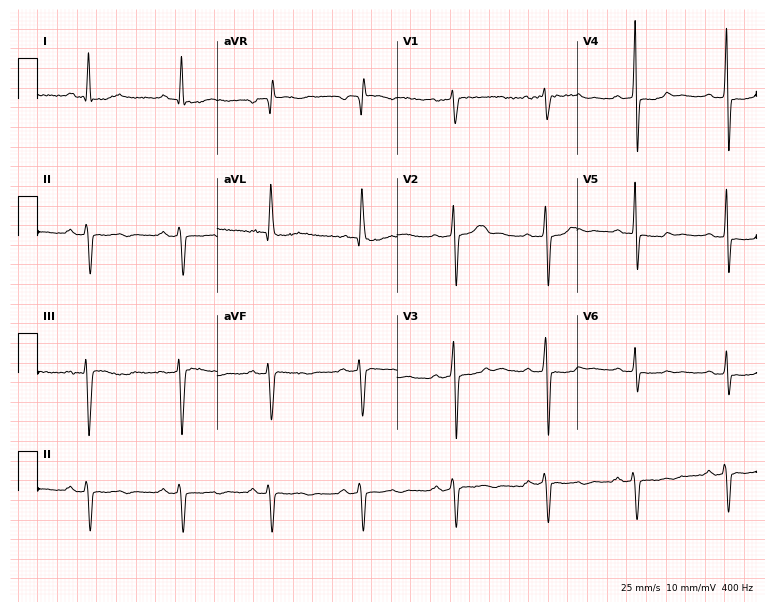
ECG (7.3-second recording at 400 Hz) — a woman, 52 years old. Screened for six findings — first-degree AV block, right bundle branch block (RBBB), left bundle branch block (LBBB), sinus bradycardia, atrial fibrillation (AF), sinus tachycardia — none is recorded.